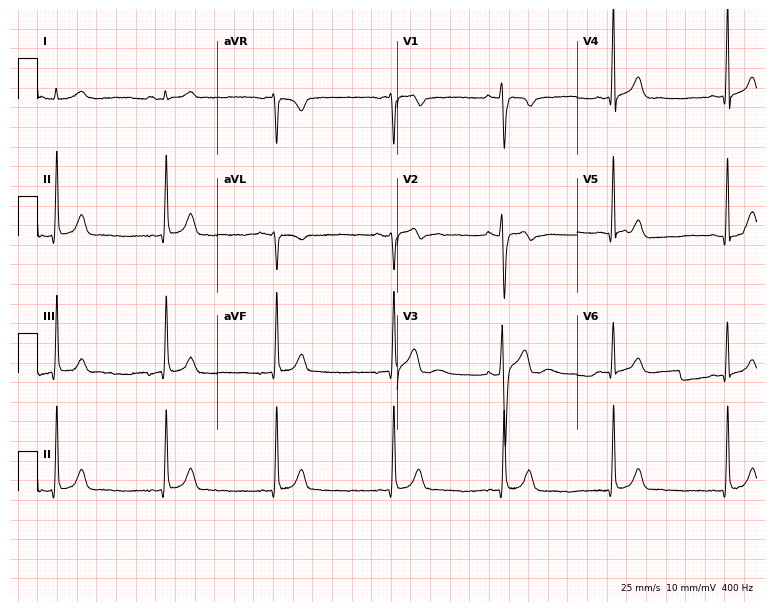
ECG — a male, 19 years old. Labelled as a normal ECG.